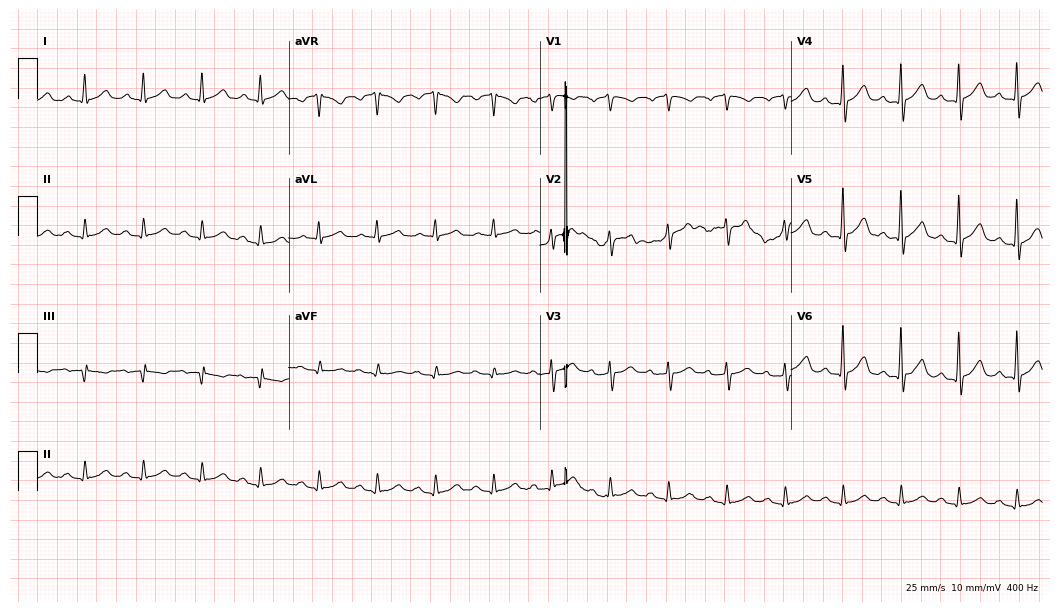
Resting 12-lead electrocardiogram. Patient: a 64-year-old man. The tracing shows sinus tachycardia (a sinus rate of 100 beats per minute or more).